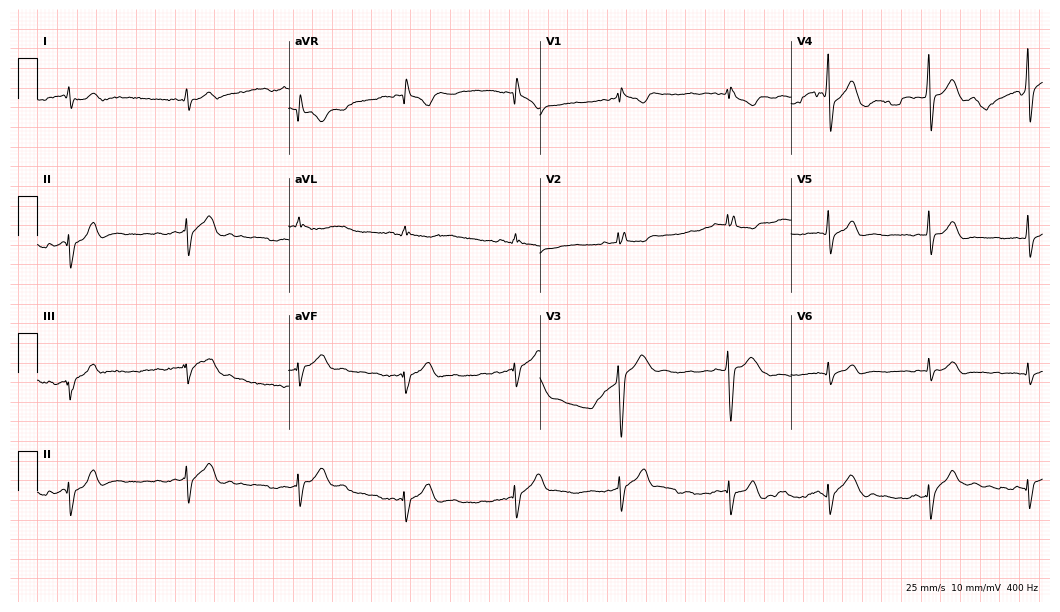
Electrocardiogram (10.2-second recording at 400 Hz), a male patient, 19 years old. Of the six screened findings (first-degree AV block, right bundle branch block, left bundle branch block, sinus bradycardia, atrial fibrillation, sinus tachycardia), none is recorded.